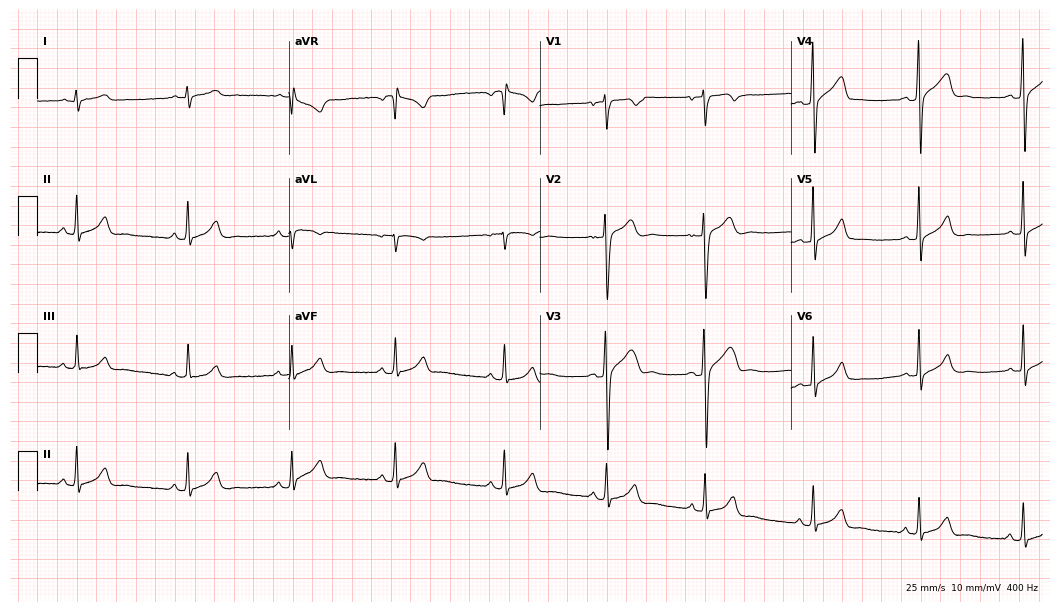
ECG — a 27-year-old male. Labelled as a normal ECG.